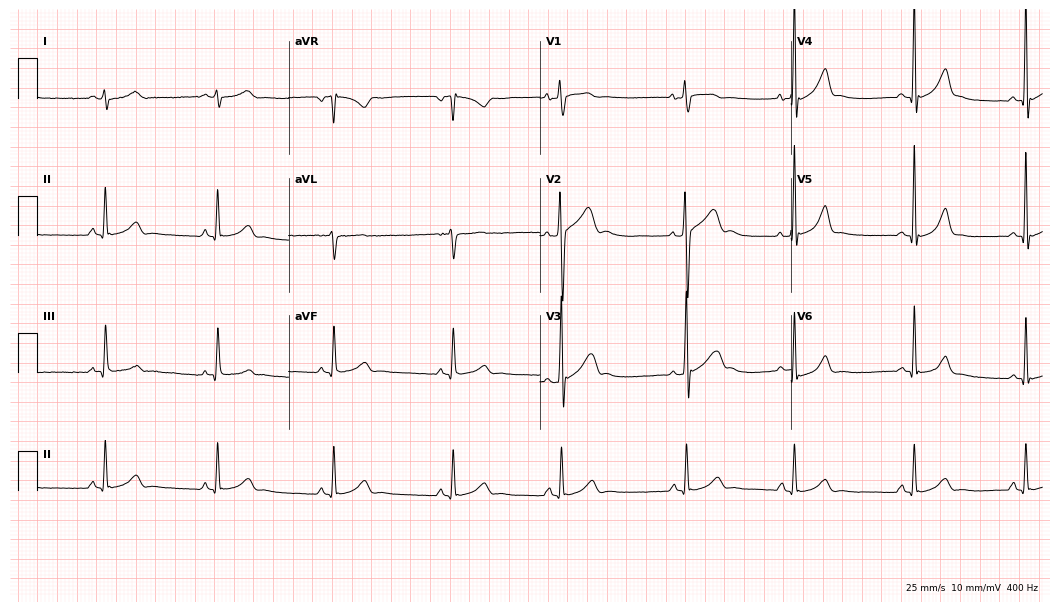
Standard 12-lead ECG recorded from a 21-year-old male. Read as a normal ECG.